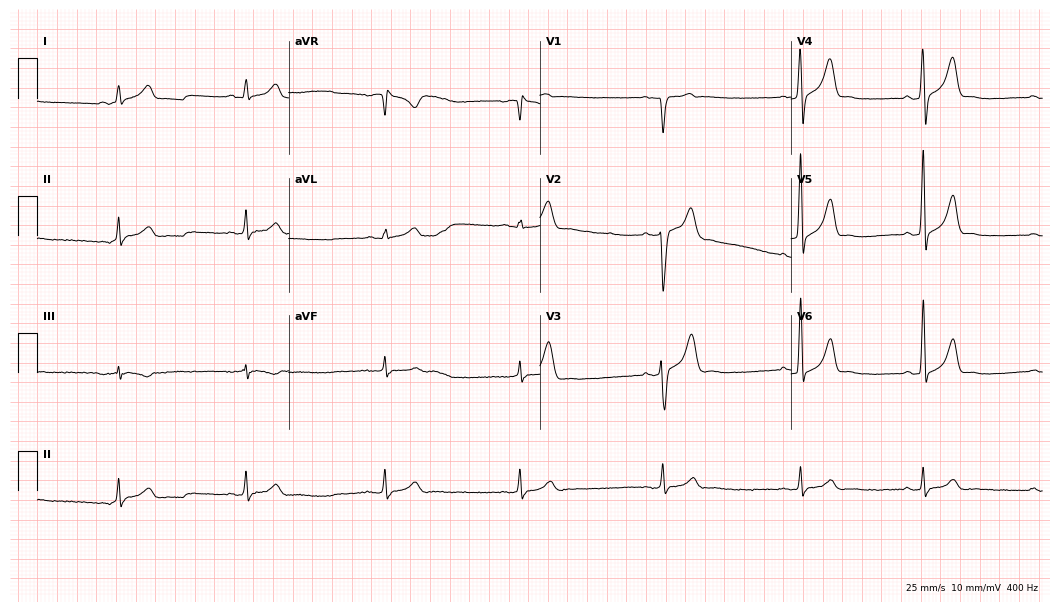
Electrocardiogram, a man, 29 years old. Interpretation includes sinus bradycardia (a sinus rate of 50 beats per minute or less).